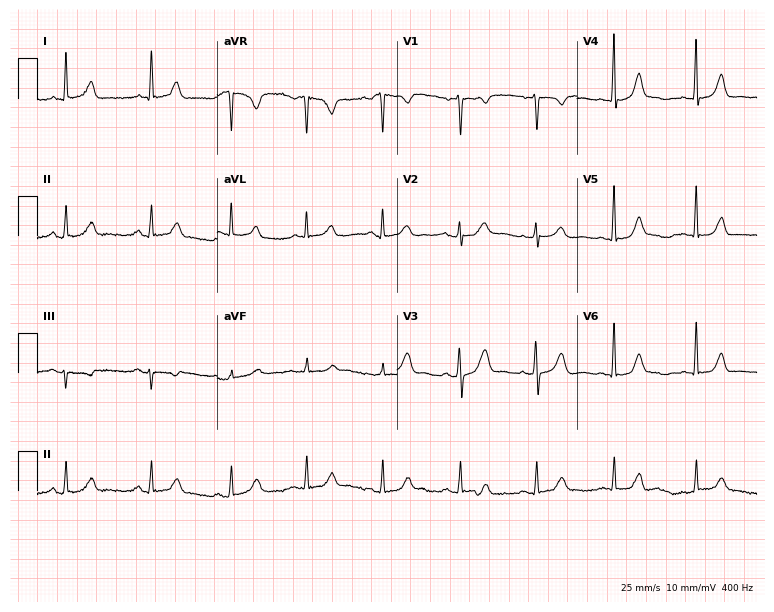
Standard 12-lead ECG recorded from a female, 46 years old. None of these six findings is recorded: first-degree AV block, right bundle branch block, left bundle branch block, sinus bradycardia, atrial fibrillation, sinus tachycardia. Only these six findings were labelled.